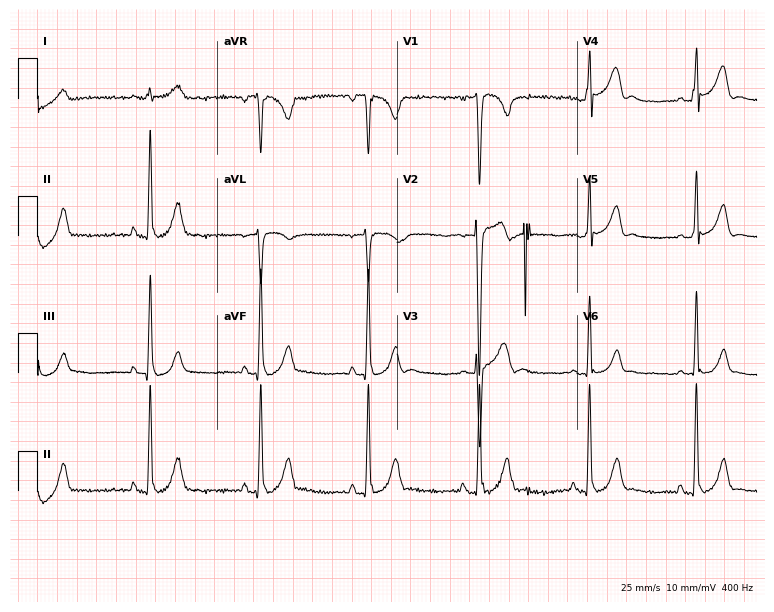
Resting 12-lead electrocardiogram. Patient: a male, 17 years old. Read as a normal ECG.